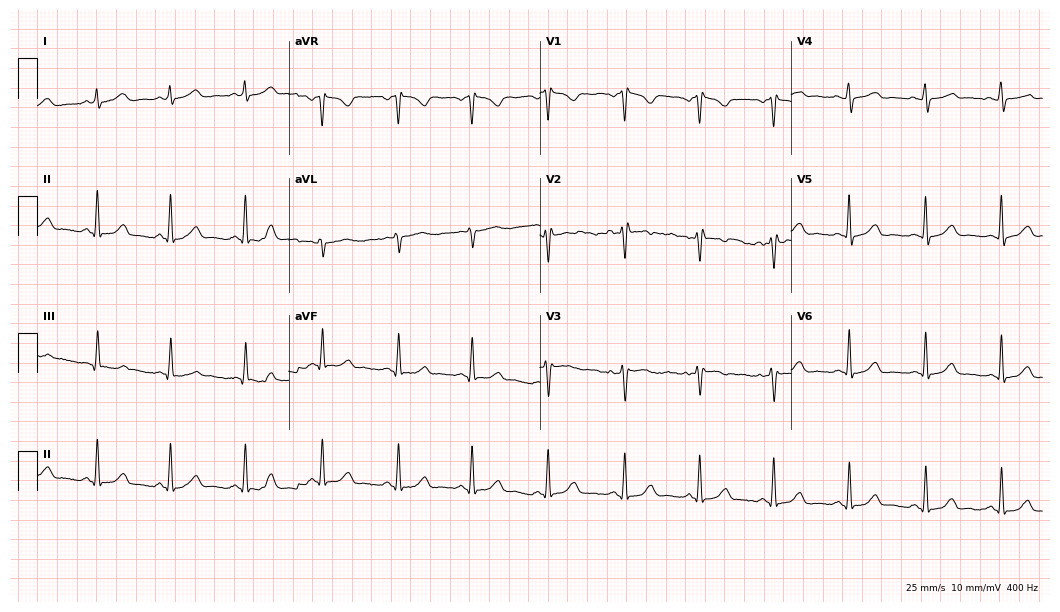
12-lead ECG from a woman, 44 years old. Screened for six findings — first-degree AV block, right bundle branch block (RBBB), left bundle branch block (LBBB), sinus bradycardia, atrial fibrillation (AF), sinus tachycardia — none is recorded.